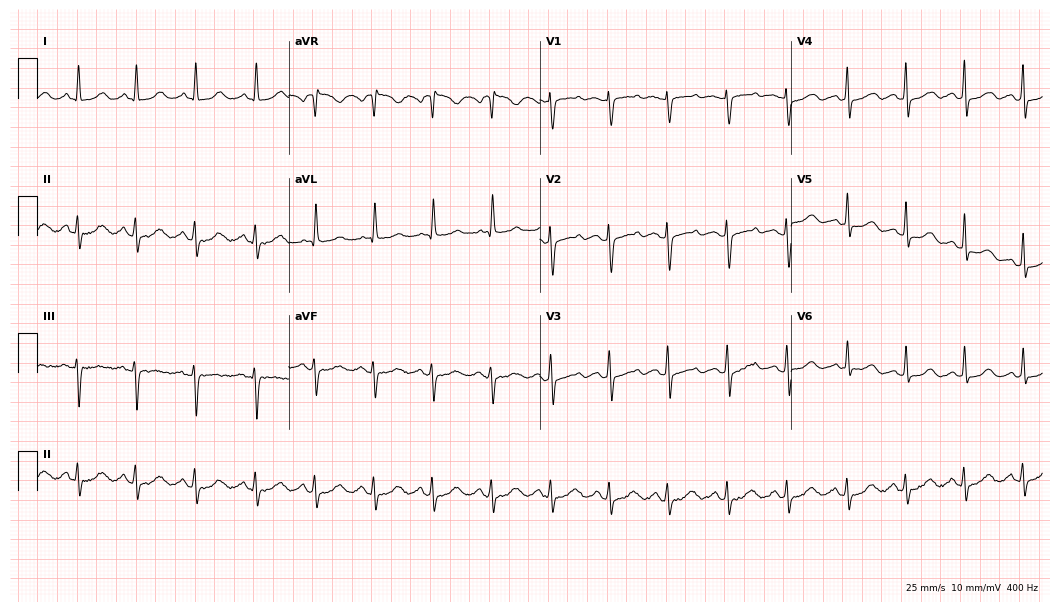
Standard 12-lead ECG recorded from a female, 43 years old (10.2-second recording at 400 Hz). None of these six findings is recorded: first-degree AV block, right bundle branch block, left bundle branch block, sinus bradycardia, atrial fibrillation, sinus tachycardia. Other findings, if any, are not listed.